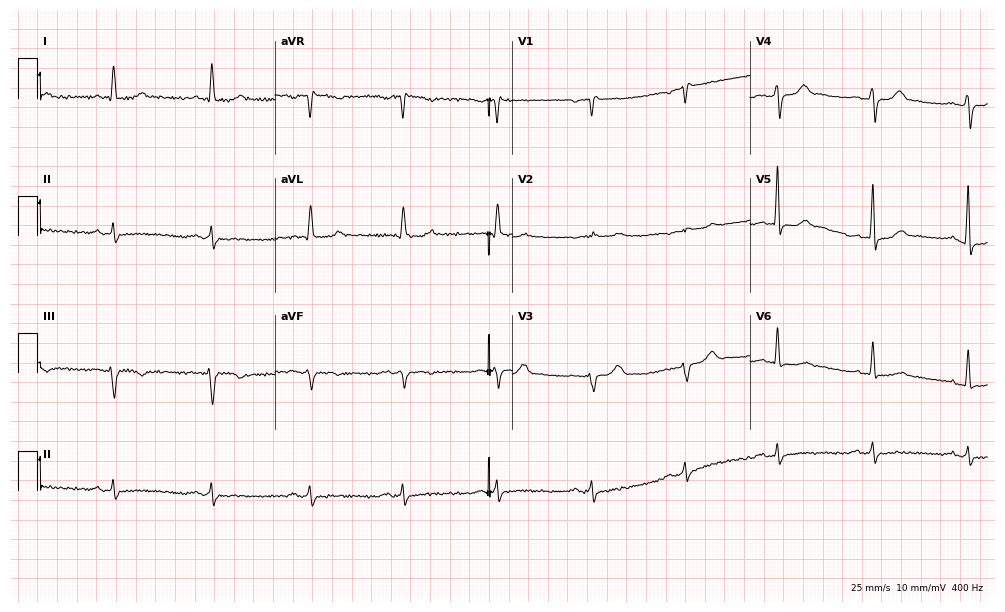
Standard 12-lead ECG recorded from a male patient, 65 years old. None of these six findings is recorded: first-degree AV block, right bundle branch block, left bundle branch block, sinus bradycardia, atrial fibrillation, sinus tachycardia.